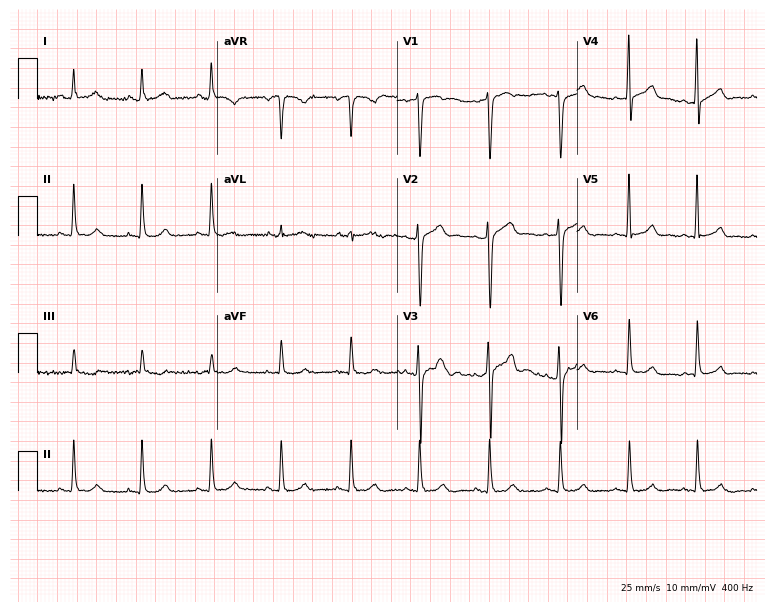
12-lead ECG from a 40-year-old male patient (7.3-second recording at 400 Hz). Recorded interpretation: within normal limits.